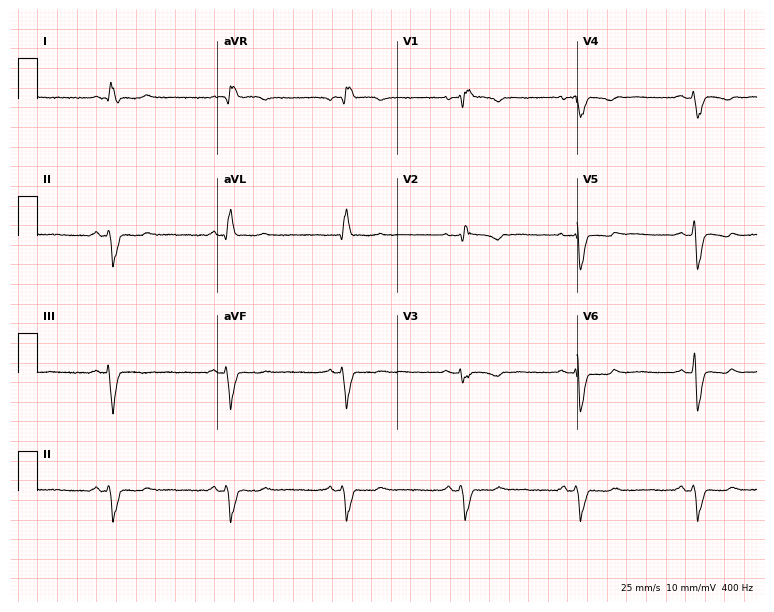
12-lead ECG from a female, 68 years old. Findings include right bundle branch block.